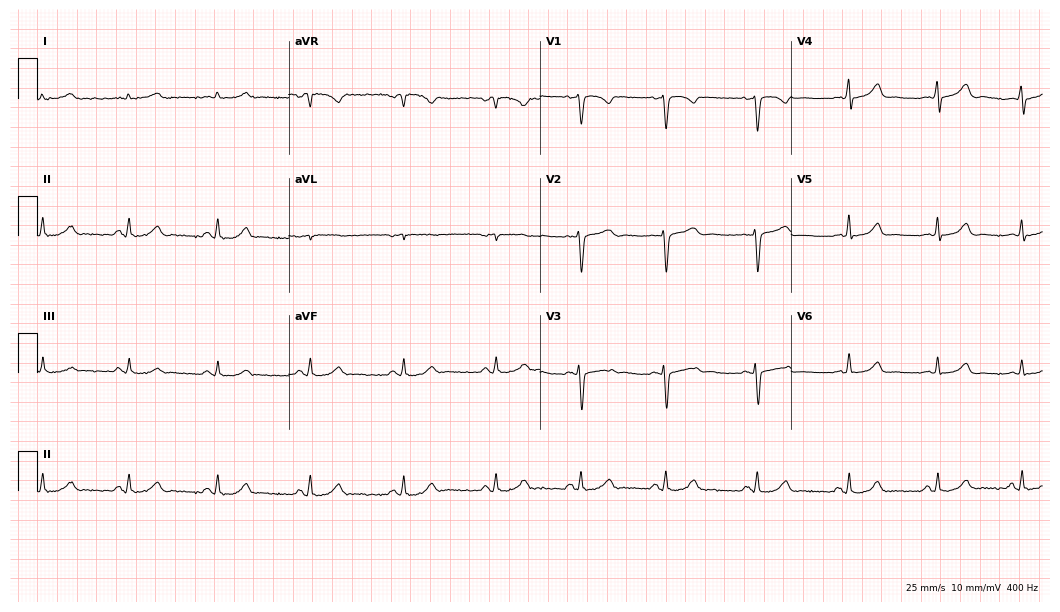
Resting 12-lead electrocardiogram. Patient: a 30-year-old female. Read as a normal ECG.